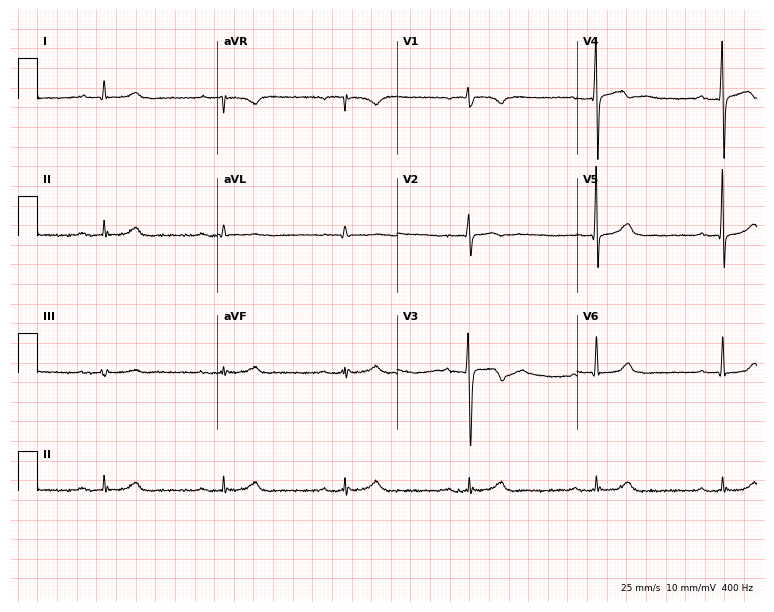
ECG — a man, 69 years old. Findings include first-degree AV block, sinus bradycardia (a sinus rate of 50 beats per minute or less).